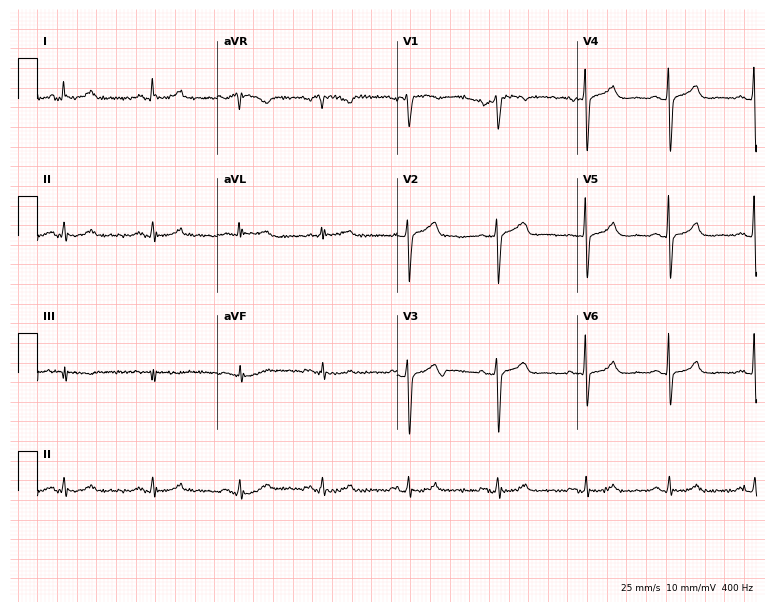
Standard 12-lead ECG recorded from a 63-year-old female patient. None of these six findings is recorded: first-degree AV block, right bundle branch block, left bundle branch block, sinus bradycardia, atrial fibrillation, sinus tachycardia. Other findings, if any, are not listed.